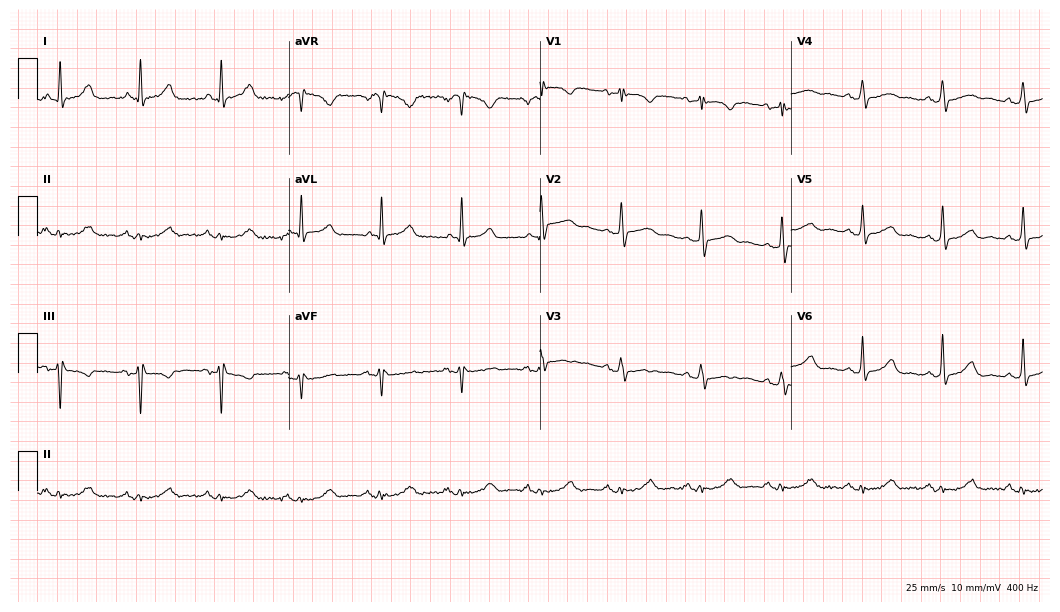
12-lead ECG from a 77-year-old woman. Recorded interpretation: within normal limits.